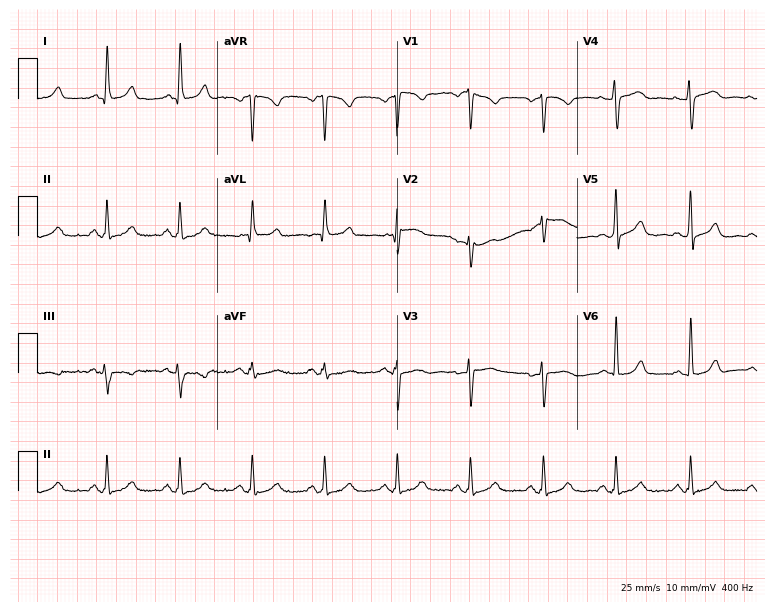
12-lead ECG from a female patient, 54 years old. Recorded interpretation: within normal limits.